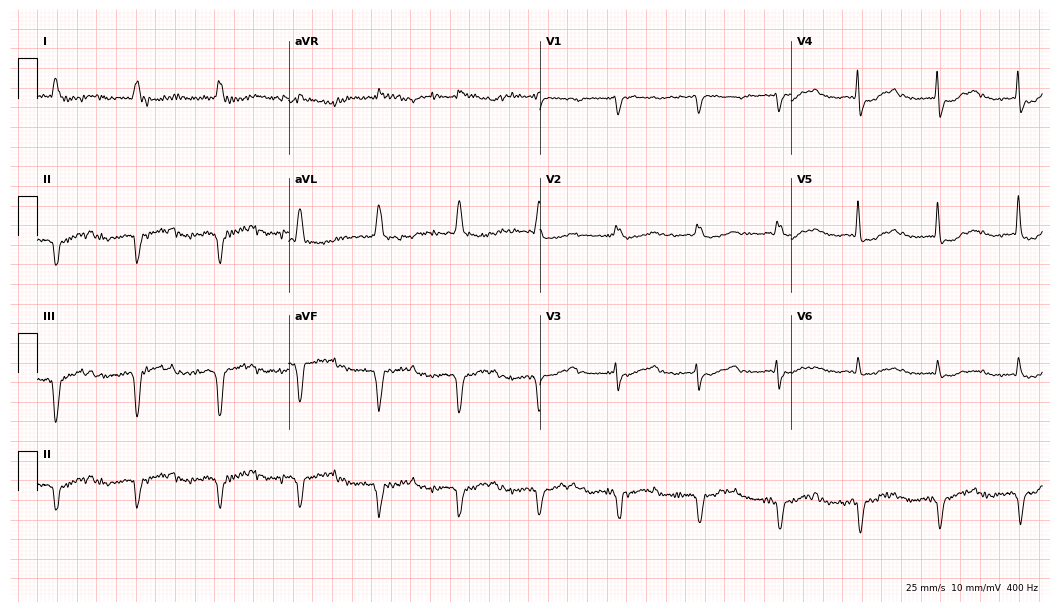
12-lead ECG (10.2-second recording at 400 Hz) from a man, 83 years old. Screened for six findings — first-degree AV block, right bundle branch block, left bundle branch block, sinus bradycardia, atrial fibrillation, sinus tachycardia — none is recorded. Only these six findings were labelled.